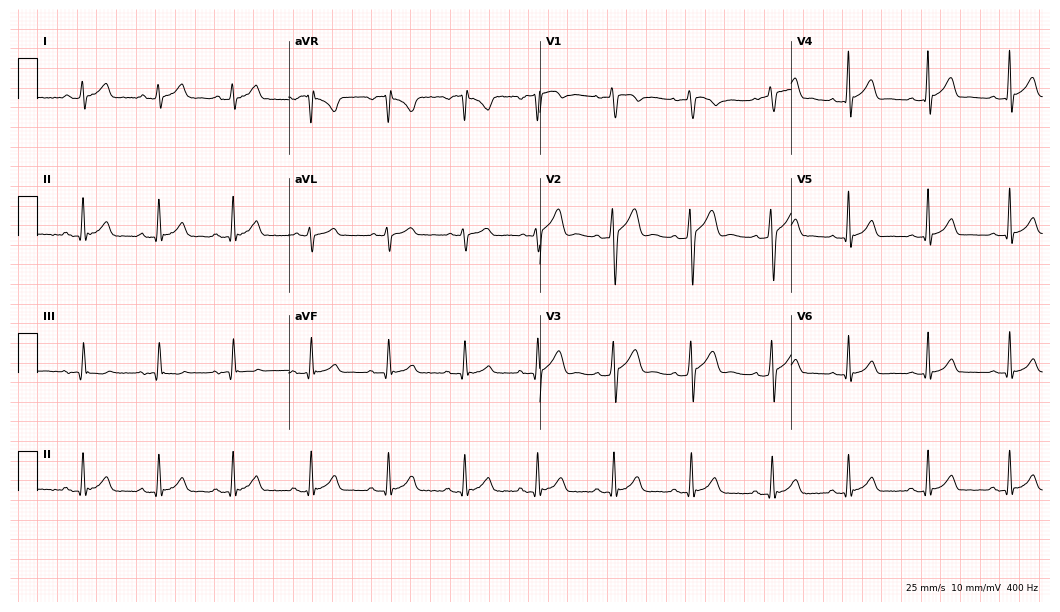
12-lead ECG from a man, 26 years old. Labelled as a normal ECG.